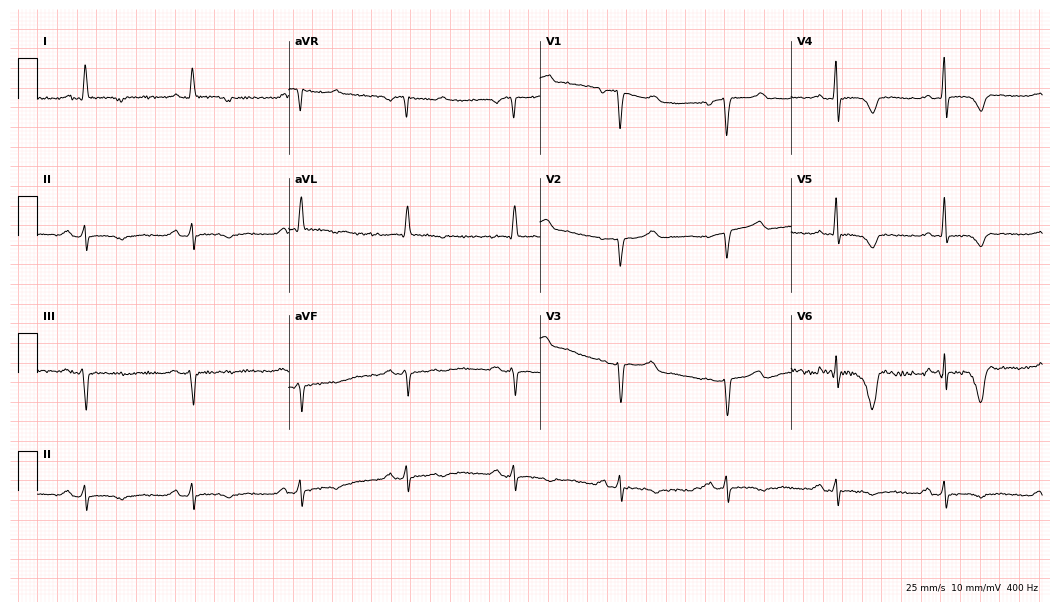
ECG — a 72-year-old male patient. Screened for six findings — first-degree AV block, right bundle branch block (RBBB), left bundle branch block (LBBB), sinus bradycardia, atrial fibrillation (AF), sinus tachycardia — none is recorded.